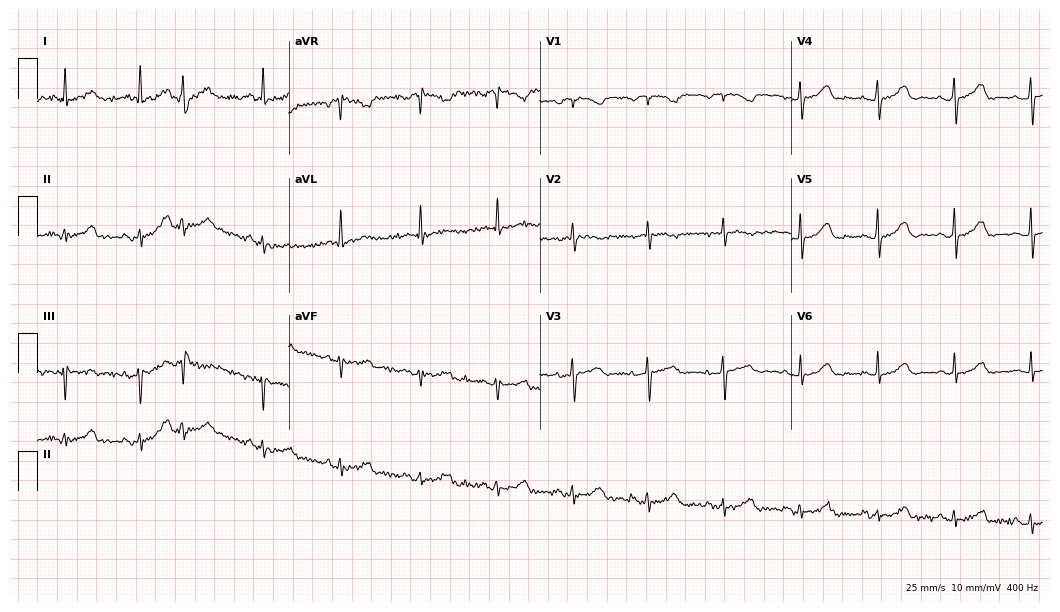
ECG — a 74-year-old woman. Labelled as a normal ECG.